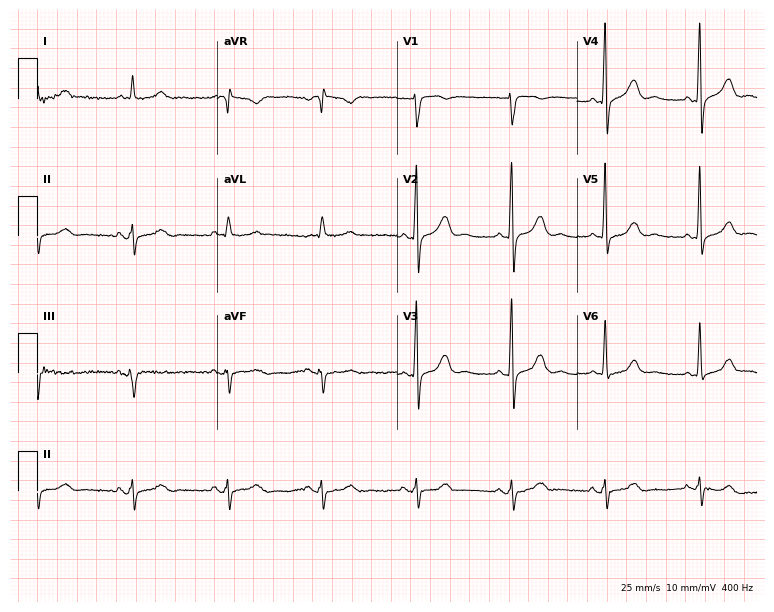
Standard 12-lead ECG recorded from a 71-year-old man. None of these six findings is recorded: first-degree AV block, right bundle branch block, left bundle branch block, sinus bradycardia, atrial fibrillation, sinus tachycardia.